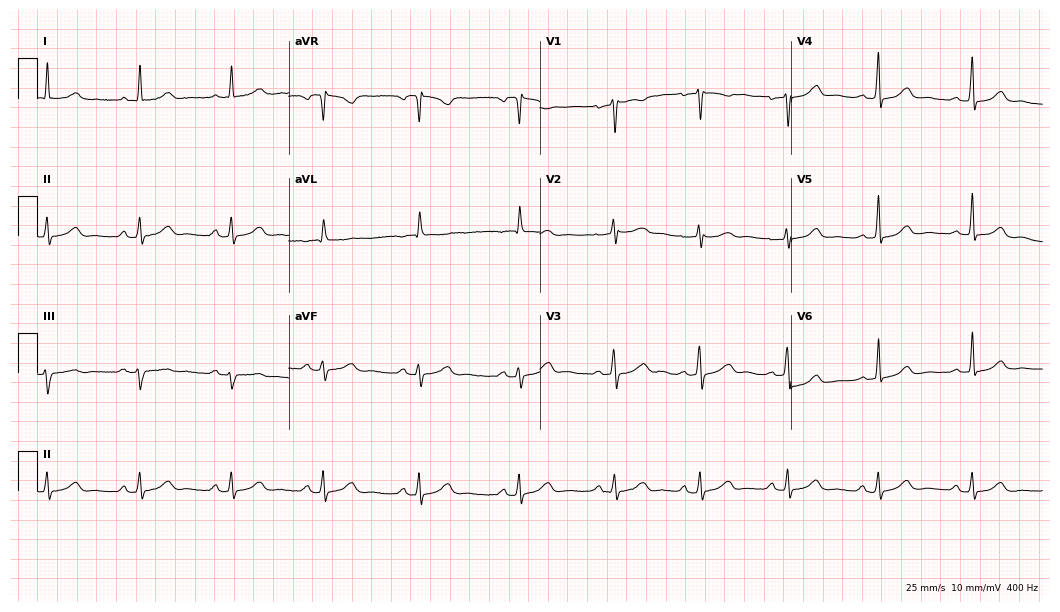
Standard 12-lead ECG recorded from a 32-year-old woman. Read as a normal ECG.